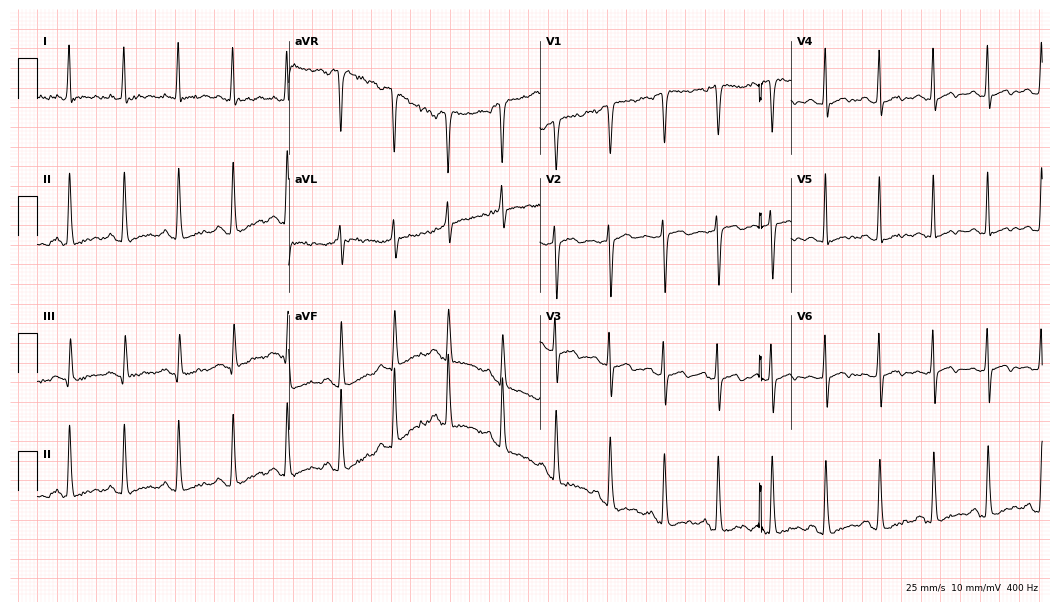
Standard 12-lead ECG recorded from a woman, 70 years old. None of these six findings is recorded: first-degree AV block, right bundle branch block (RBBB), left bundle branch block (LBBB), sinus bradycardia, atrial fibrillation (AF), sinus tachycardia. Only these six findings were labelled.